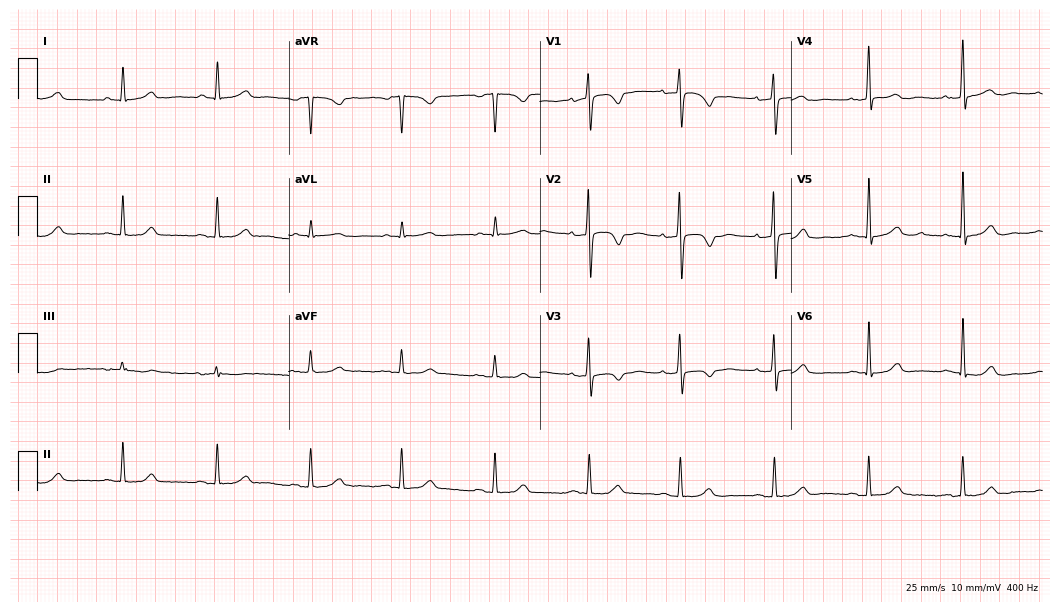
Standard 12-lead ECG recorded from a 74-year-old woman (10.2-second recording at 400 Hz). None of these six findings is recorded: first-degree AV block, right bundle branch block (RBBB), left bundle branch block (LBBB), sinus bradycardia, atrial fibrillation (AF), sinus tachycardia.